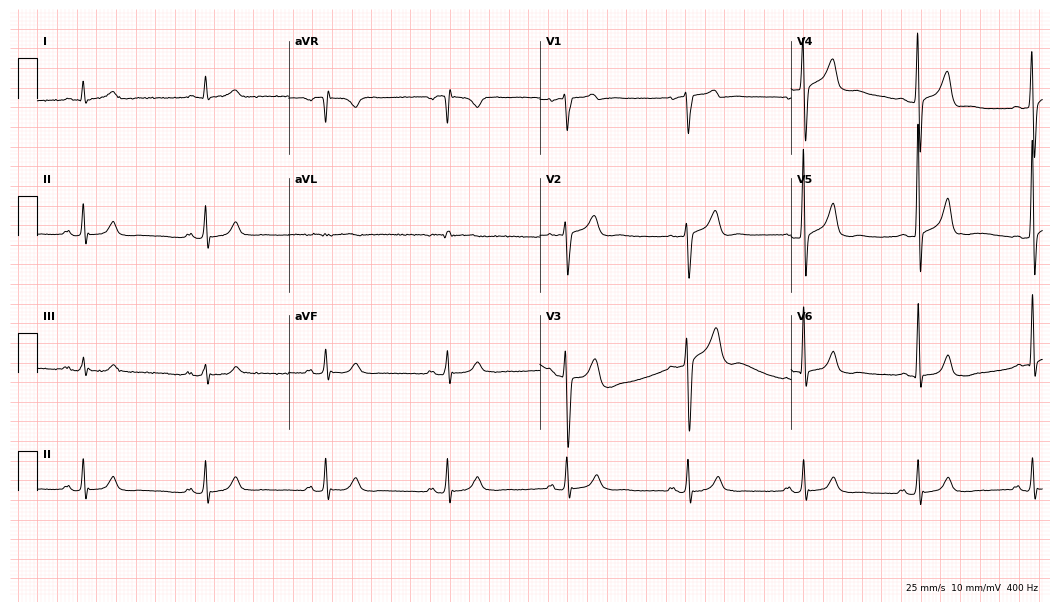
Resting 12-lead electrocardiogram (10.2-second recording at 400 Hz). Patient: a male, 57 years old. Read as a normal ECG.